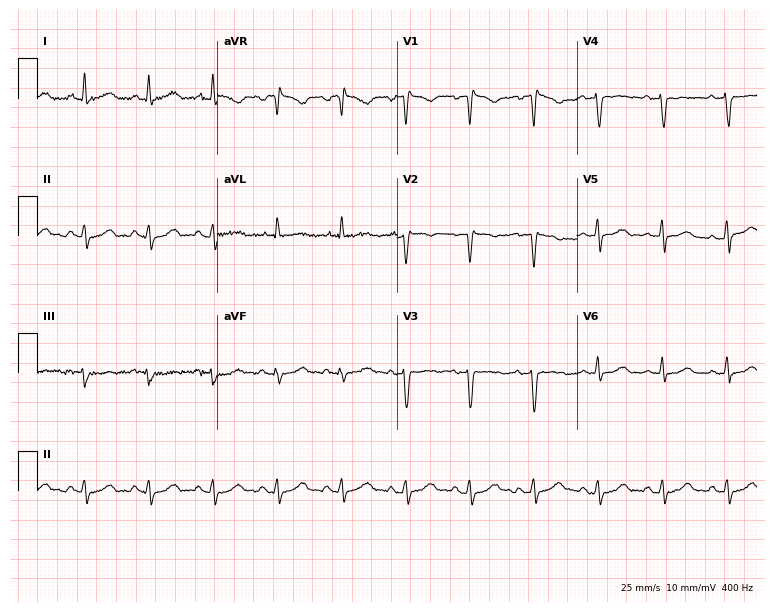
Resting 12-lead electrocardiogram. Patient: a female, 42 years old. Read as a normal ECG.